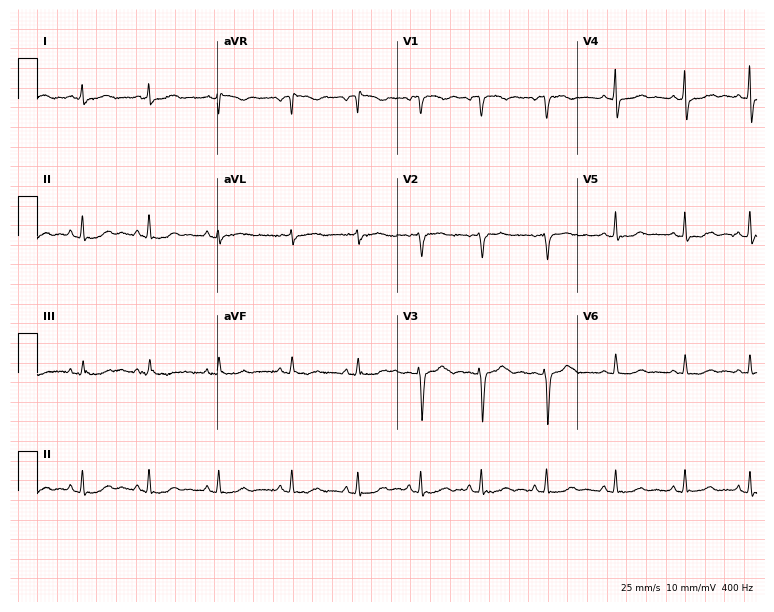
12-lead ECG (7.3-second recording at 400 Hz) from a woman, 32 years old. Screened for six findings — first-degree AV block, right bundle branch block, left bundle branch block, sinus bradycardia, atrial fibrillation, sinus tachycardia — none is recorded.